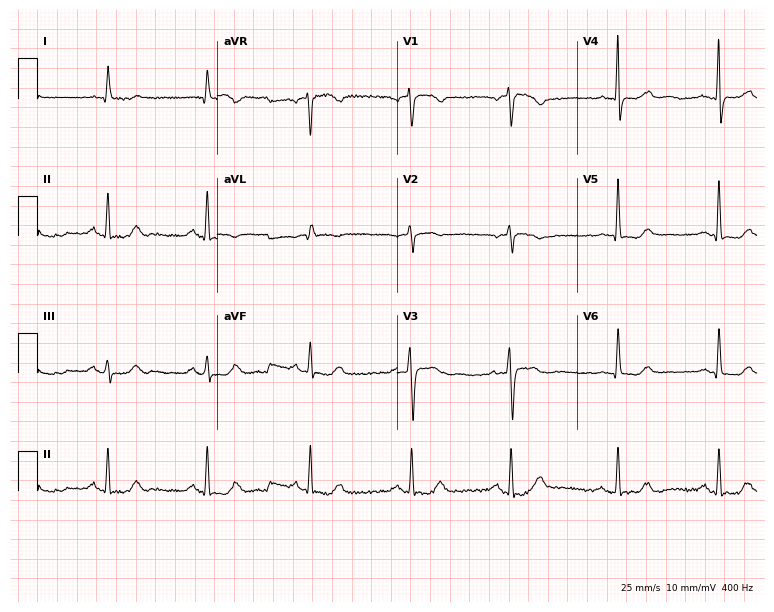
Electrocardiogram (7.3-second recording at 400 Hz), a 72-year-old female patient. Overall reading on record: normal ECG.